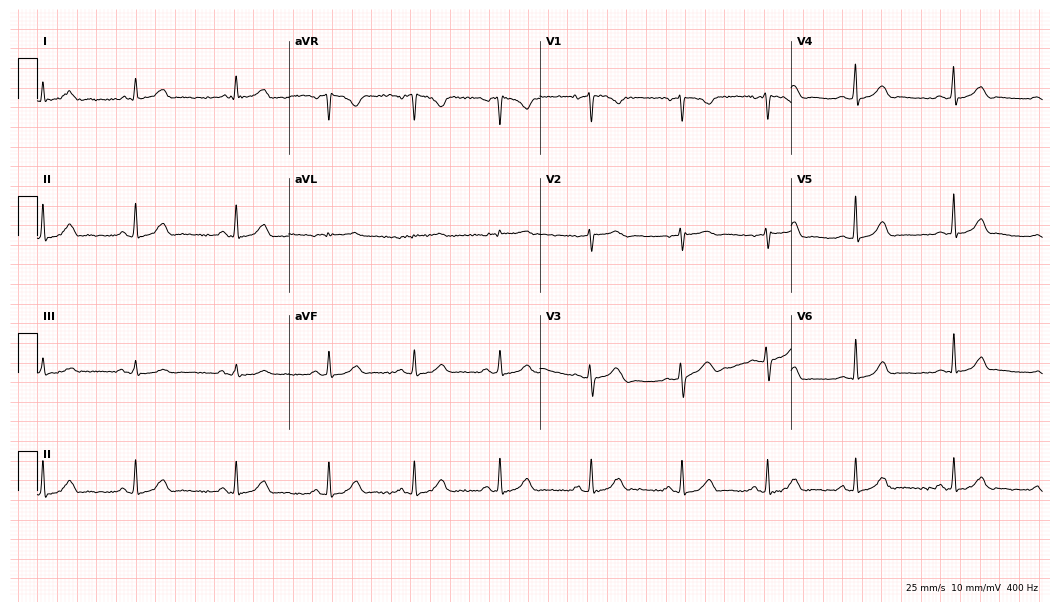
Standard 12-lead ECG recorded from a woman, 30 years old (10.2-second recording at 400 Hz). Read as a normal ECG.